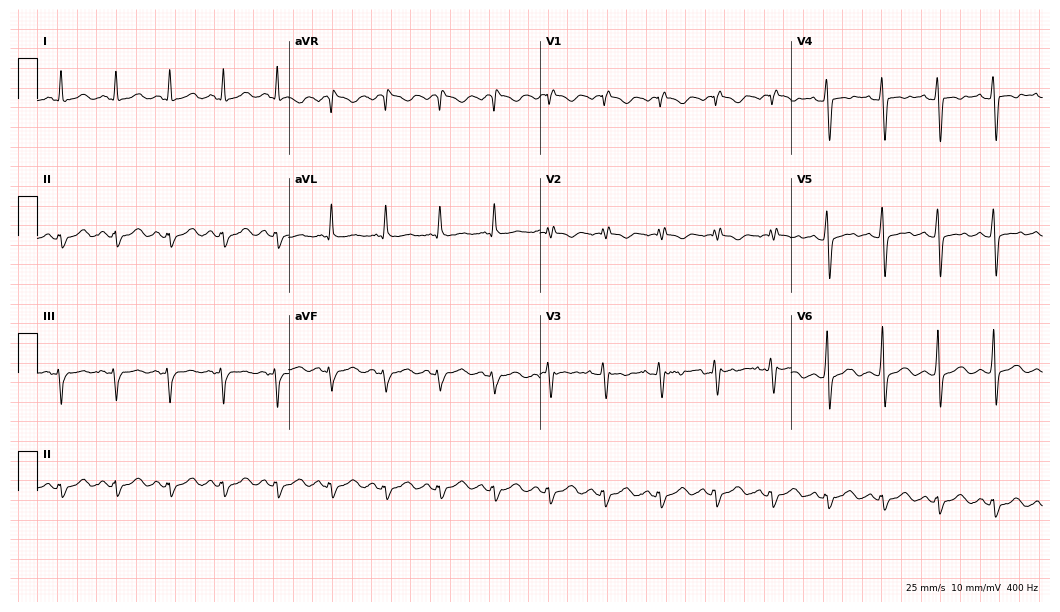
Electrocardiogram (10.2-second recording at 400 Hz), a female patient, 49 years old. Interpretation includes sinus tachycardia (a sinus rate of 100 beats per minute or more).